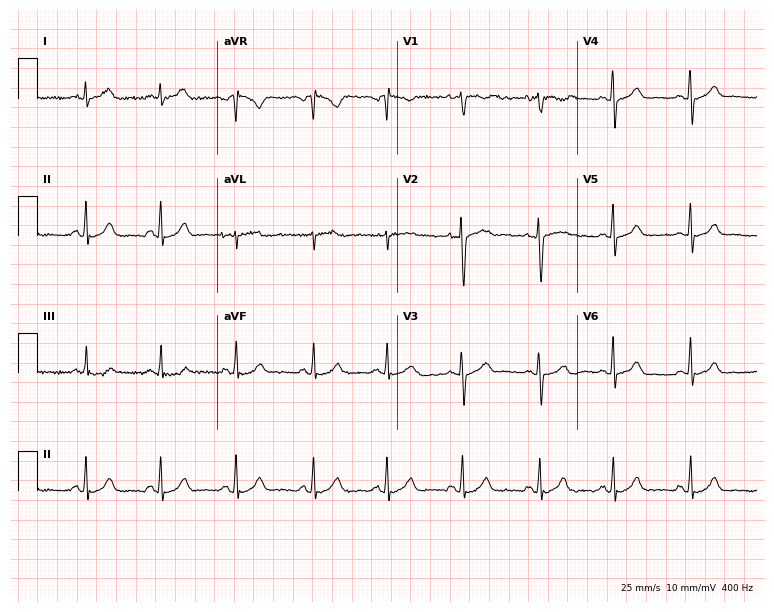
12-lead ECG from a 29-year-old female patient. Recorded interpretation: within normal limits.